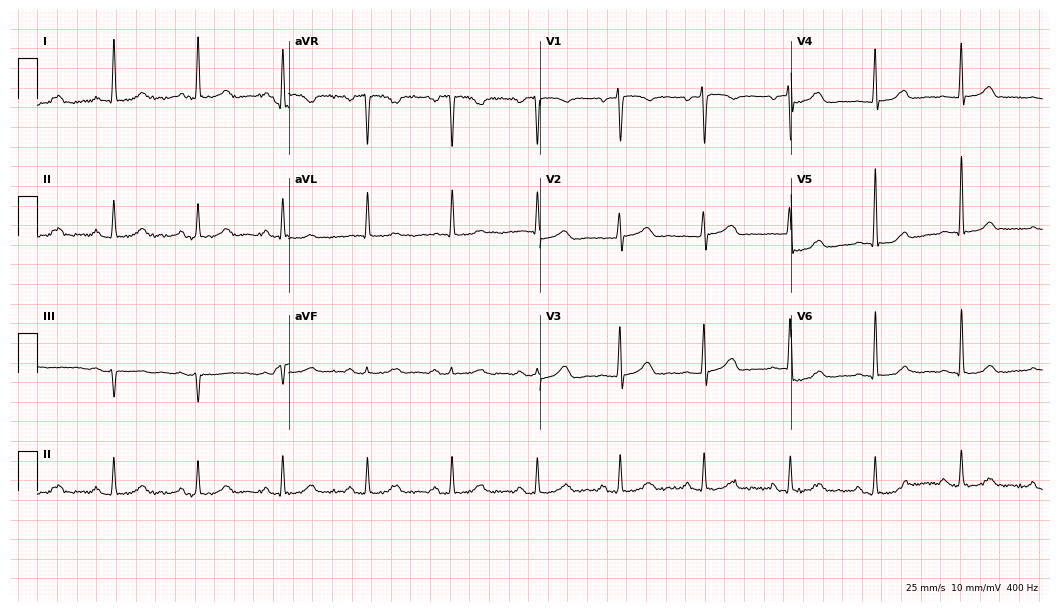
Standard 12-lead ECG recorded from a woman, 66 years old (10.2-second recording at 400 Hz). None of these six findings is recorded: first-degree AV block, right bundle branch block, left bundle branch block, sinus bradycardia, atrial fibrillation, sinus tachycardia. Only these six findings were labelled.